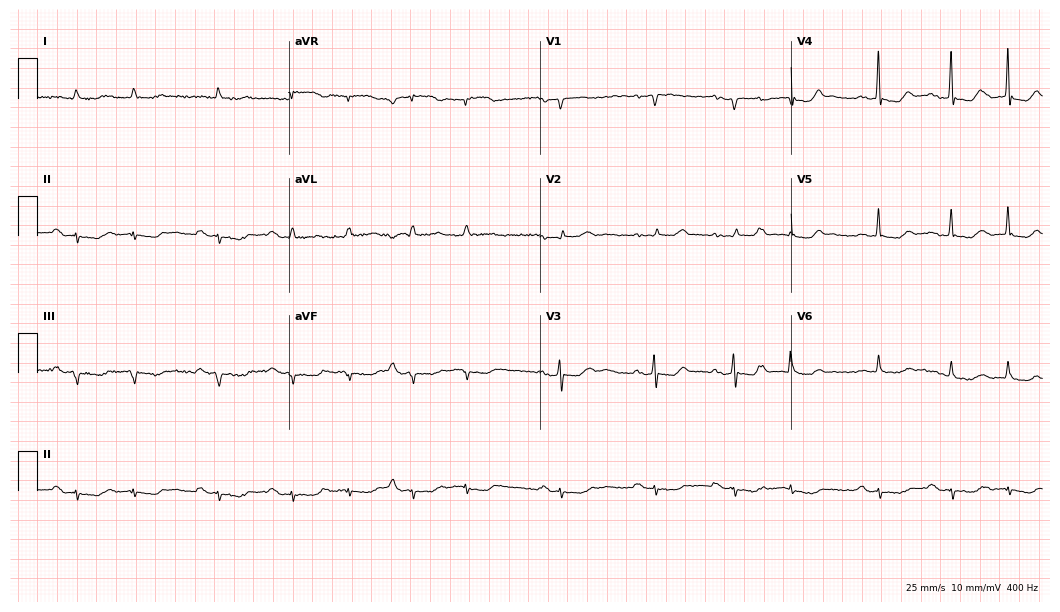
Electrocardiogram, a female, 85 years old. Overall reading on record: normal ECG.